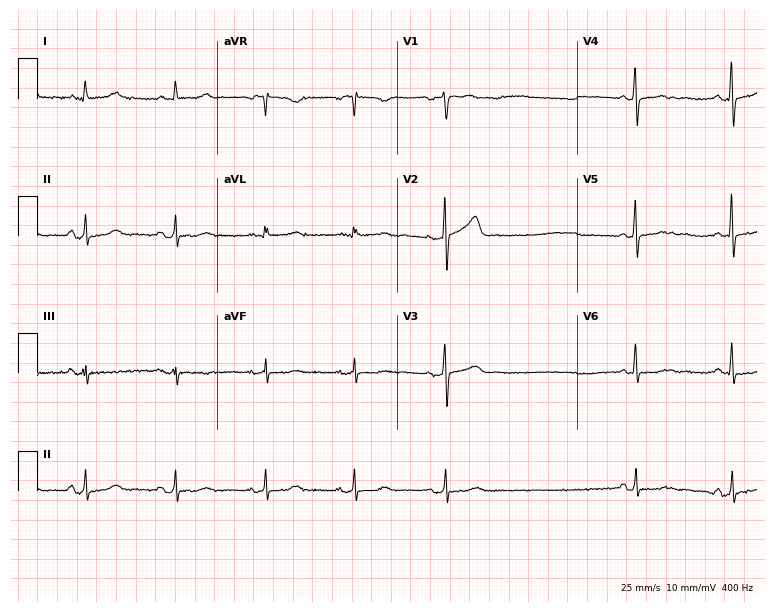
12-lead ECG from a female patient, 58 years old (7.3-second recording at 400 Hz). Recorded interpretation: within normal limits.